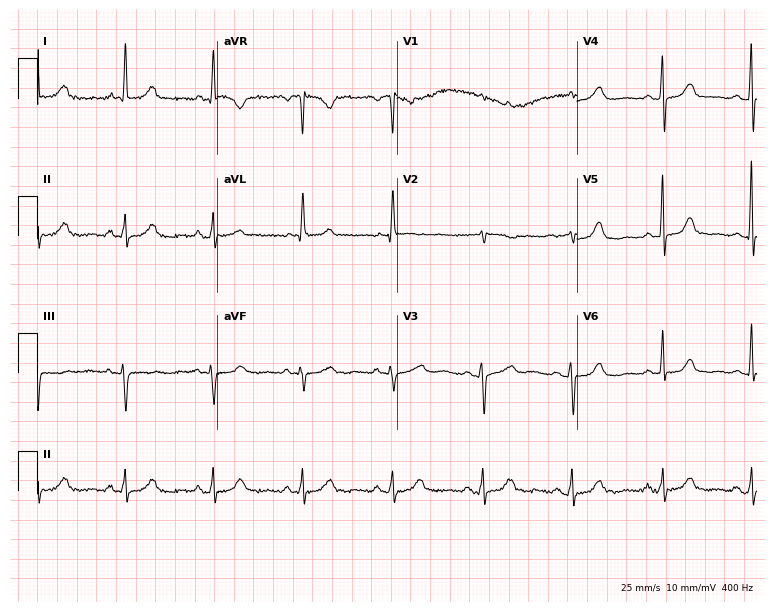
Resting 12-lead electrocardiogram. Patient: a woman, 74 years old. None of these six findings is recorded: first-degree AV block, right bundle branch block, left bundle branch block, sinus bradycardia, atrial fibrillation, sinus tachycardia.